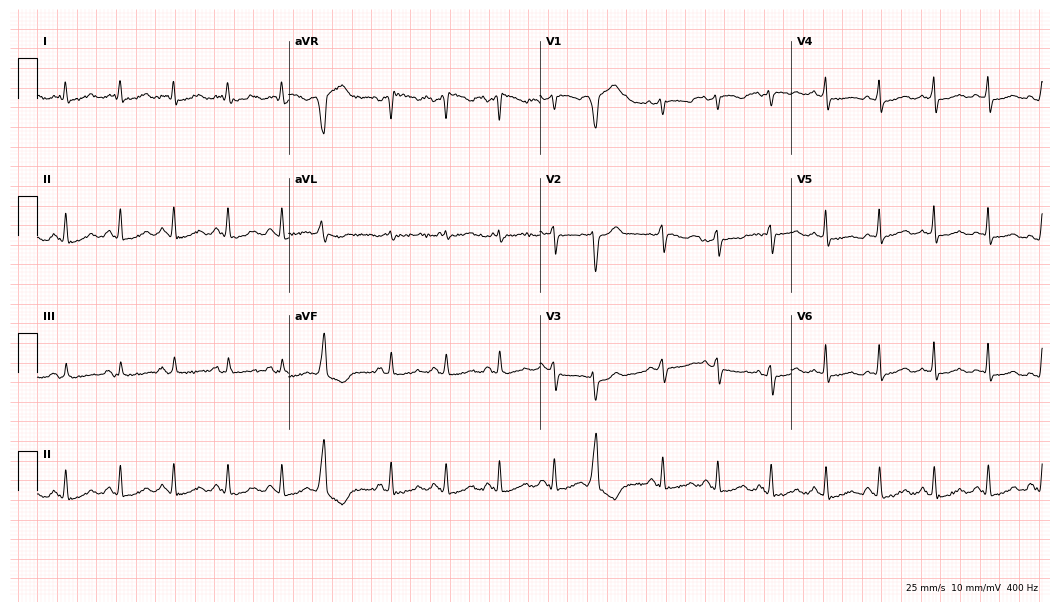
12-lead ECG from a female patient, 84 years old. Findings include sinus tachycardia (a sinus rate of 100 beats per minute or more).